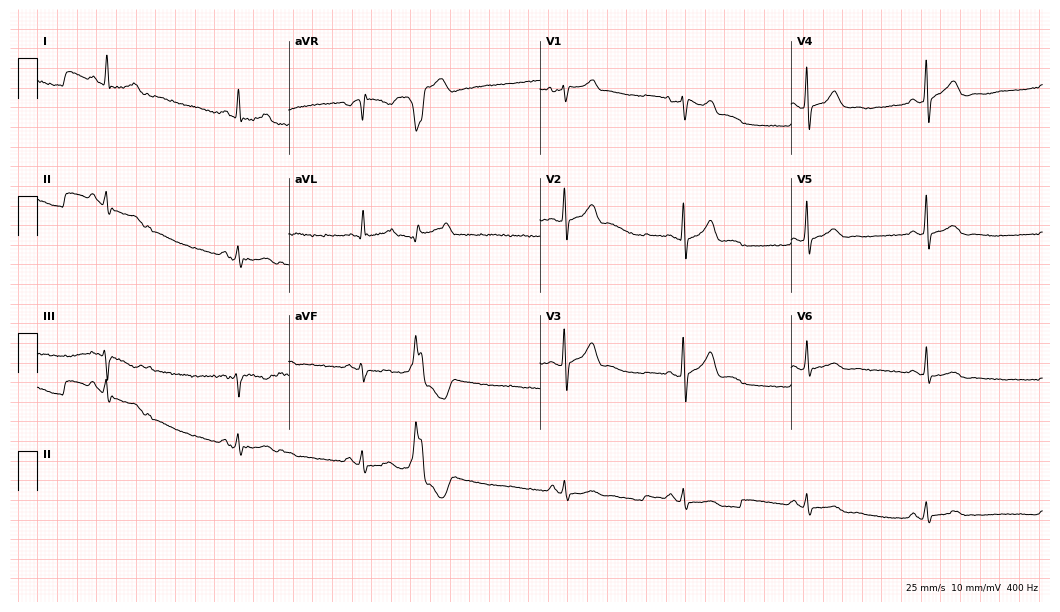
Resting 12-lead electrocardiogram (10.2-second recording at 400 Hz). Patient: a 47-year-old man. None of these six findings is recorded: first-degree AV block, right bundle branch block, left bundle branch block, sinus bradycardia, atrial fibrillation, sinus tachycardia. Findings outside these six are not listed.